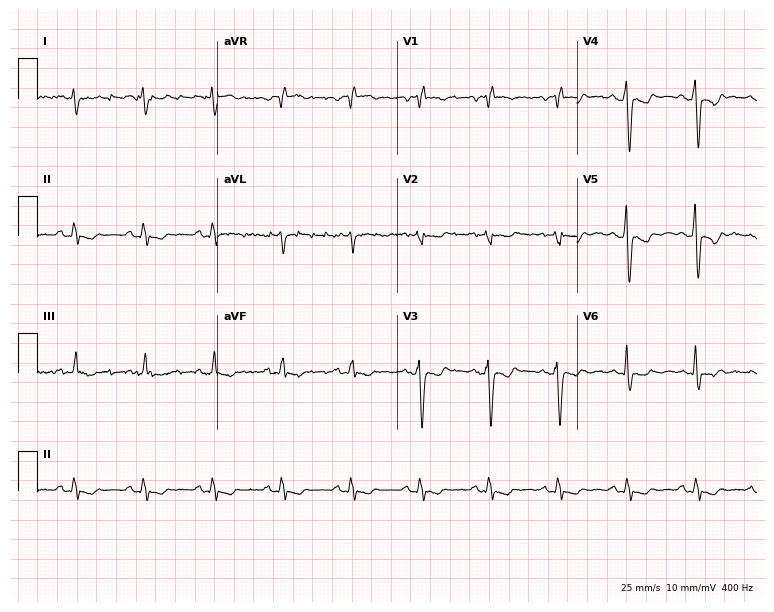
12-lead ECG from a man, 61 years old (7.3-second recording at 400 Hz). No first-degree AV block, right bundle branch block, left bundle branch block, sinus bradycardia, atrial fibrillation or sinus tachycardia recorded for this tracing. Only these six findings were labelled.